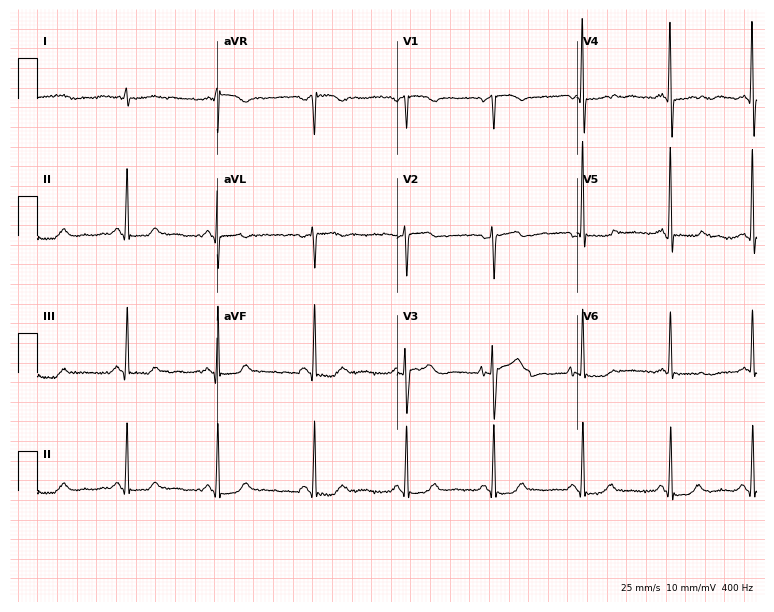
Standard 12-lead ECG recorded from a woman, 67 years old. None of these six findings is recorded: first-degree AV block, right bundle branch block, left bundle branch block, sinus bradycardia, atrial fibrillation, sinus tachycardia. Only these six findings were labelled.